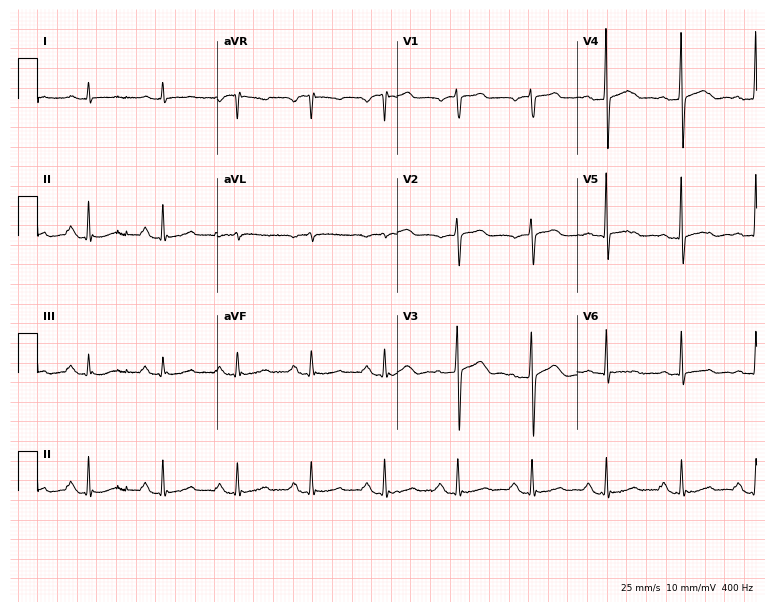
Resting 12-lead electrocardiogram (7.3-second recording at 400 Hz). Patient: a 71-year-old man. Read as a normal ECG.